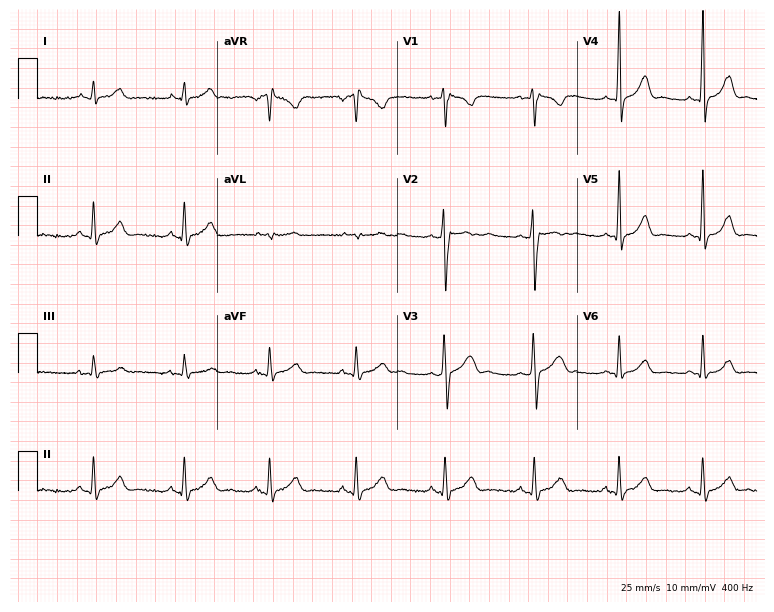
Standard 12-lead ECG recorded from a male patient, 29 years old (7.3-second recording at 400 Hz). None of these six findings is recorded: first-degree AV block, right bundle branch block, left bundle branch block, sinus bradycardia, atrial fibrillation, sinus tachycardia. Only these six findings were labelled.